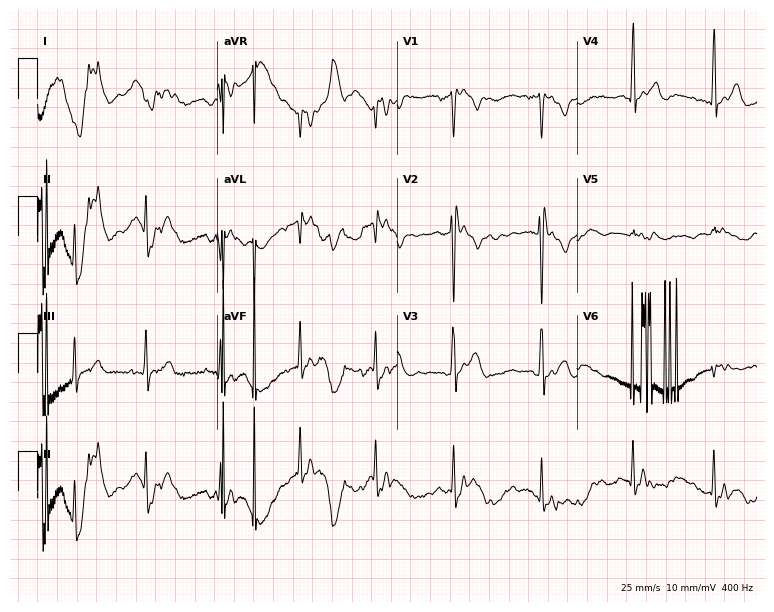
Resting 12-lead electrocardiogram. Patient: a male, 18 years old. None of these six findings is recorded: first-degree AV block, right bundle branch block, left bundle branch block, sinus bradycardia, atrial fibrillation, sinus tachycardia. Findings outside these six are not listed.